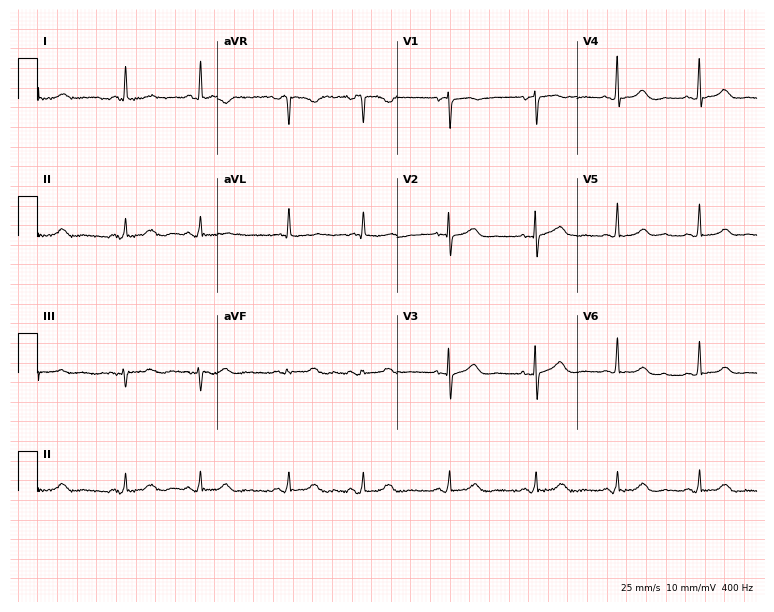
12-lead ECG (7.3-second recording at 400 Hz) from a woman, 74 years old. Labelled as a normal ECG.